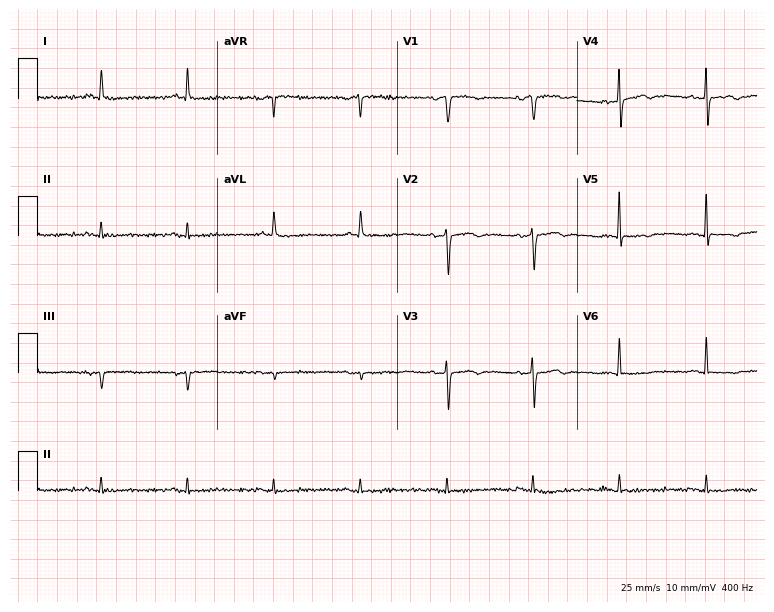
Electrocardiogram, a 77-year-old female. Overall reading on record: normal ECG.